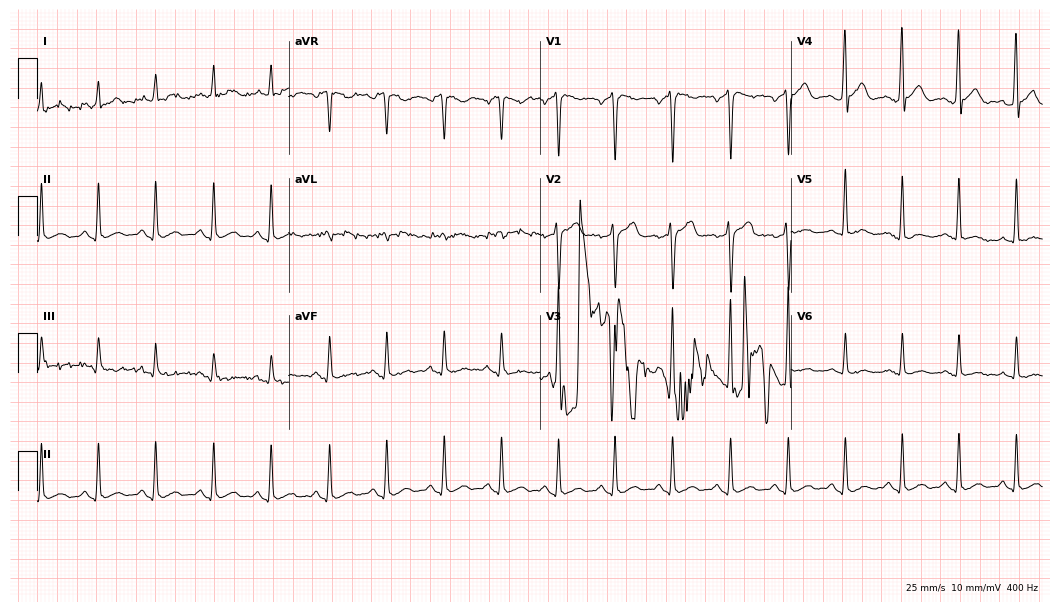
ECG — a male patient, 41 years old. Screened for six findings — first-degree AV block, right bundle branch block (RBBB), left bundle branch block (LBBB), sinus bradycardia, atrial fibrillation (AF), sinus tachycardia — none is recorded. Findings outside these six are not listed.